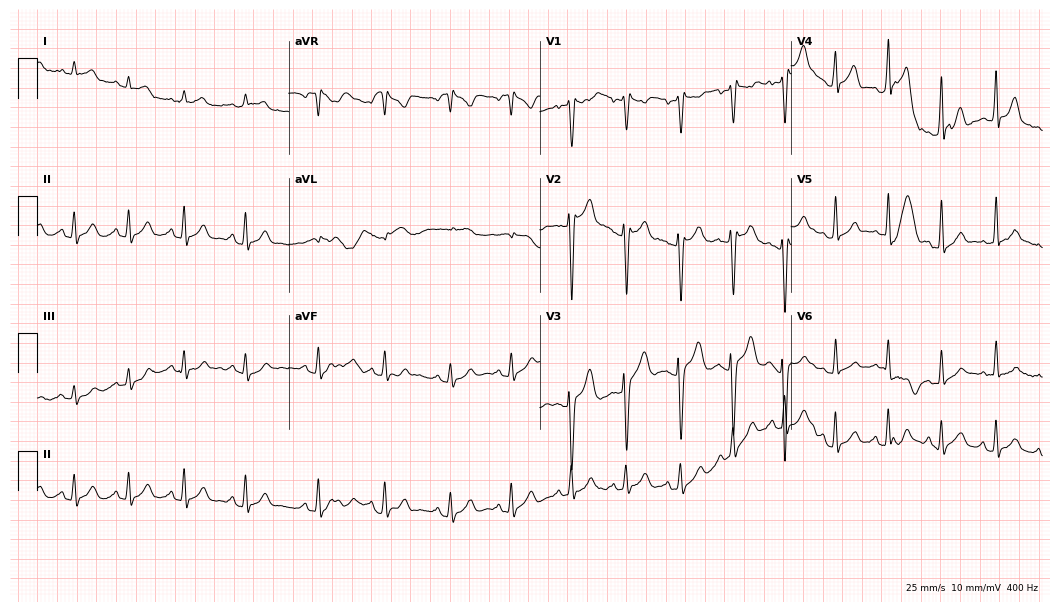
12-lead ECG from a man, 29 years old (10.2-second recording at 400 Hz). Shows sinus tachycardia (a sinus rate of 100 beats per minute or more).